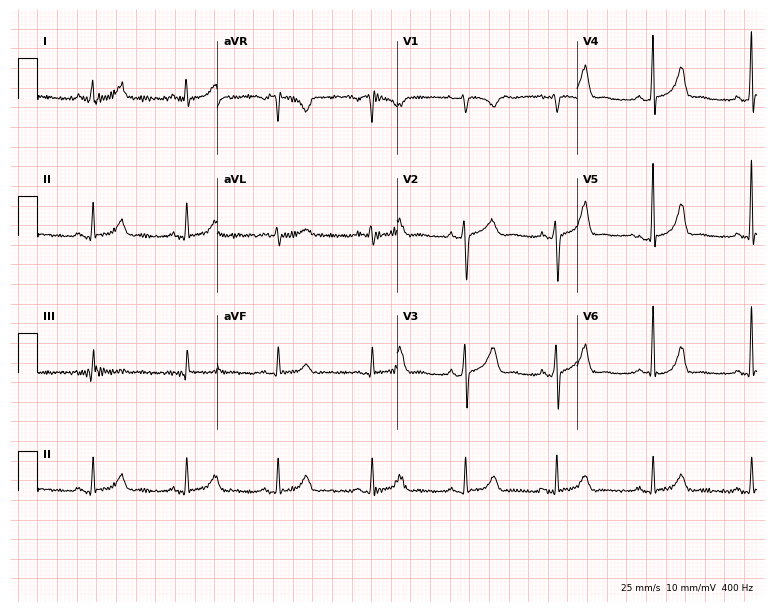
Resting 12-lead electrocardiogram (7.3-second recording at 400 Hz). Patient: a 38-year-old female. None of these six findings is recorded: first-degree AV block, right bundle branch block, left bundle branch block, sinus bradycardia, atrial fibrillation, sinus tachycardia.